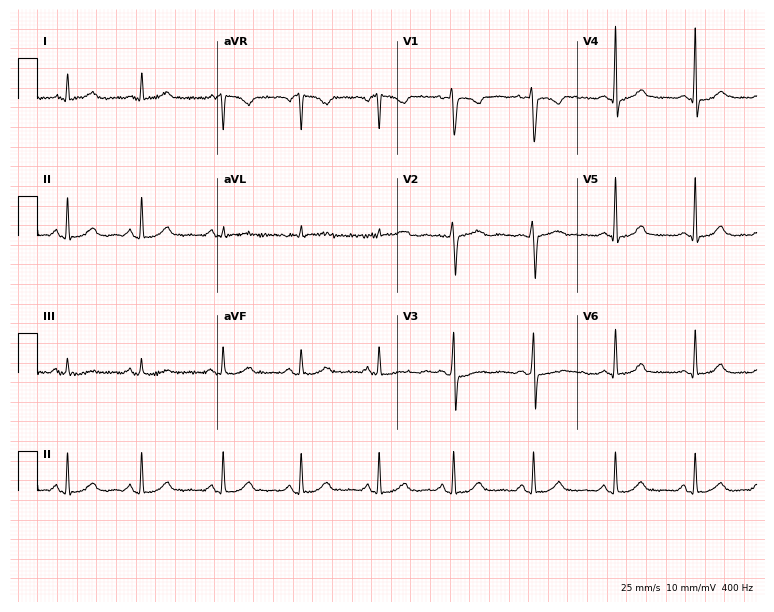
ECG — a 37-year-old female patient. Screened for six findings — first-degree AV block, right bundle branch block (RBBB), left bundle branch block (LBBB), sinus bradycardia, atrial fibrillation (AF), sinus tachycardia — none is recorded. Findings outside these six are not listed.